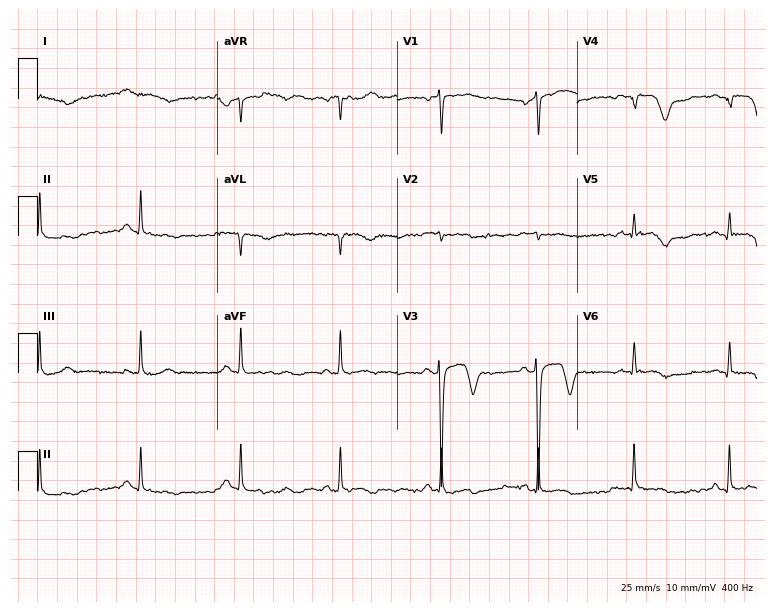
12-lead ECG from a male patient, 44 years old. No first-degree AV block, right bundle branch block (RBBB), left bundle branch block (LBBB), sinus bradycardia, atrial fibrillation (AF) or sinus tachycardia recorded for this tracing. Only these six findings were labelled.